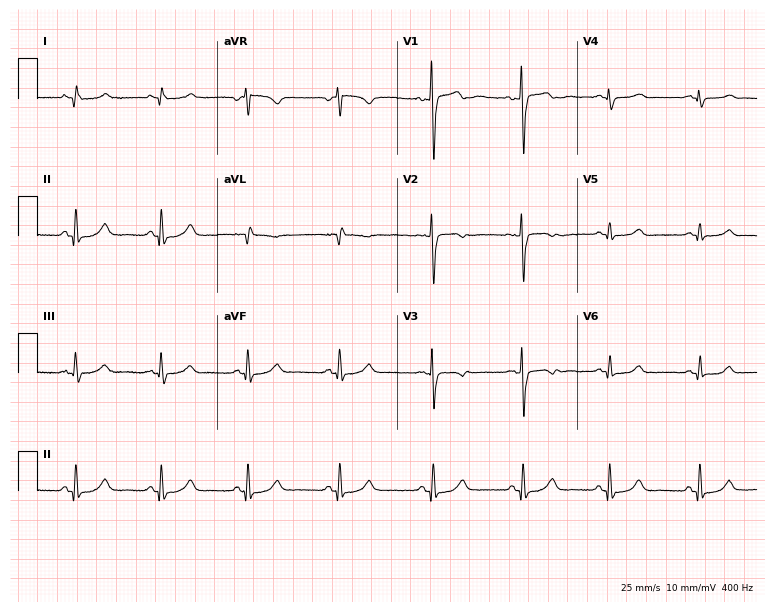
12-lead ECG from a 29-year-old female (7.3-second recording at 400 Hz). No first-degree AV block, right bundle branch block, left bundle branch block, sinus bradycardia, atrial fibrillation or sinus tachycardia recorded for this tracing. Other findings, if any, are not listed.